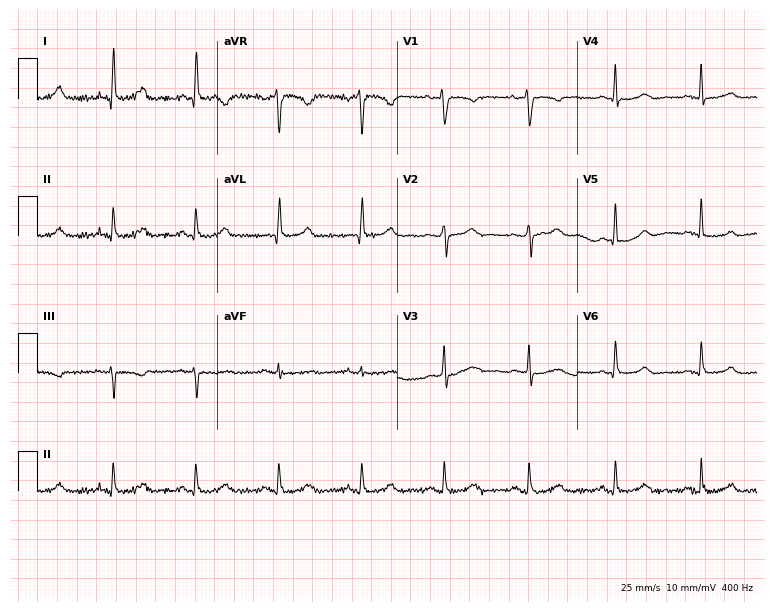
Standard 12-lead ECG recorded from a woman, 41 years old (7.3-second recording at 400 Hz). None of these six findings is recorded: first-degree AV block, right bundle branch block, left bundle branch block, sinus bradycardia, atrial fibrillation, sinus tachycardia.